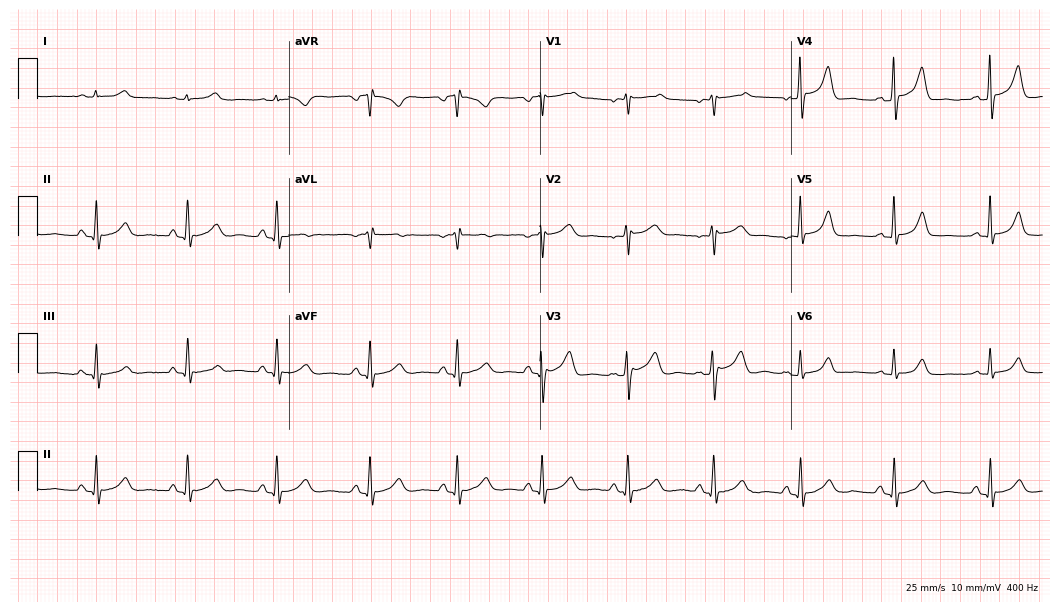
Electrocardiogram, a female patient, 70 years old. Of the six screened findings (first-degree AV block, right bundle branch block, left bundle branch block, sinus bradycardia, atrial fibrillation, sinus tachycardia), none is recorded.